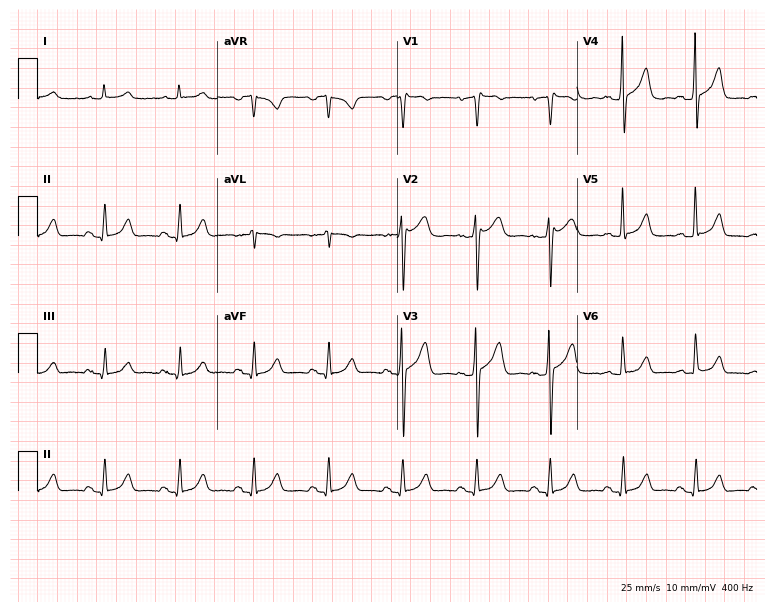
ECG — a male patient, 69 years old. Screened for six findings — first-degree AV block, right bundle branch block, left bundle branch block, sinus bradycardia, atrial fibrillation, sinus tachycardia — none is recorded.